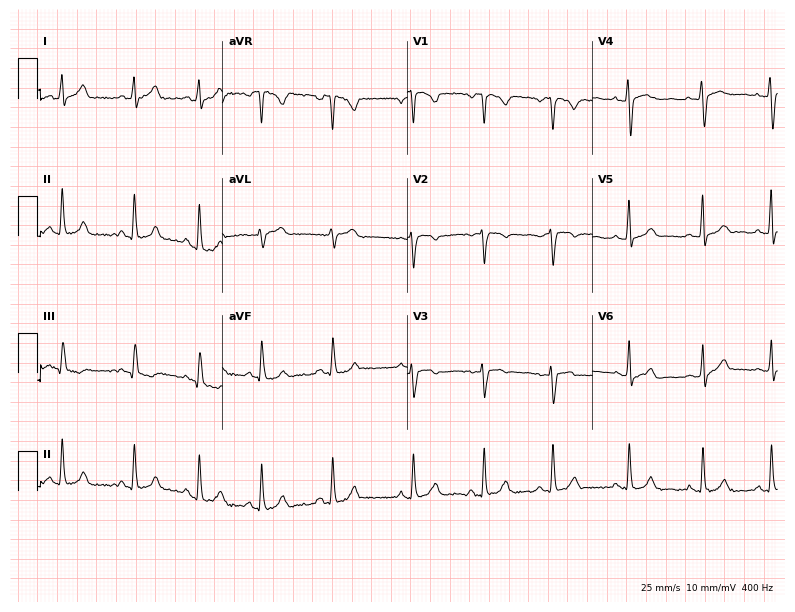
Electrocardiogram, a female patient, 27 years old. Of the six screened findings (first-degree AV block, right bundle branch block (RBBB), left bundle branch block (LBBB), sinus bradycardia, atrial fibrillation (AF), sinus tachycardia), none is recorded. Other findings, if any, are not listed.